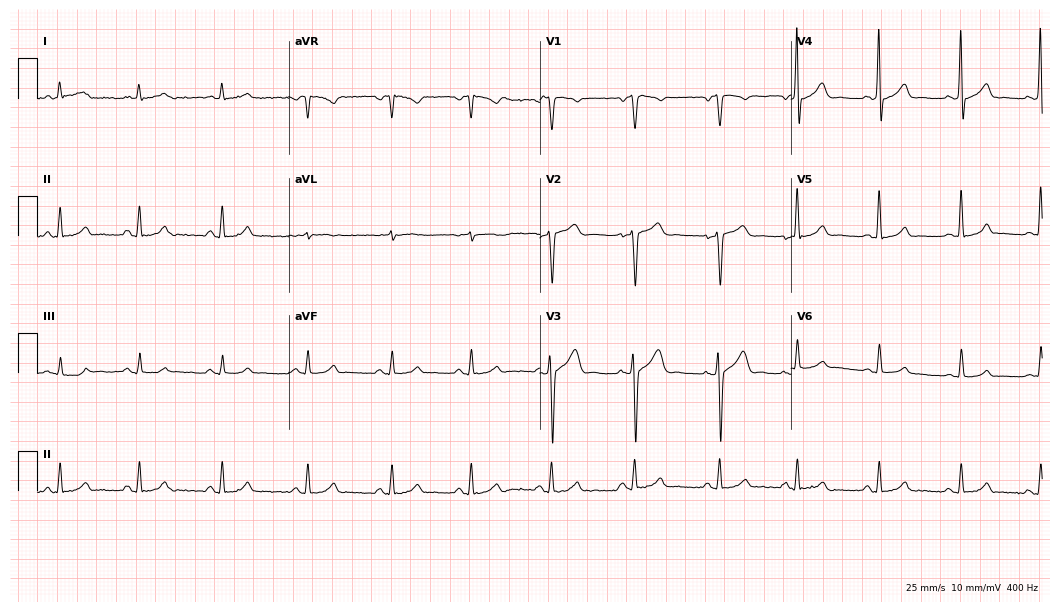
12-lead ECG from a man, 50 years old. Labelled as a normal ECG.